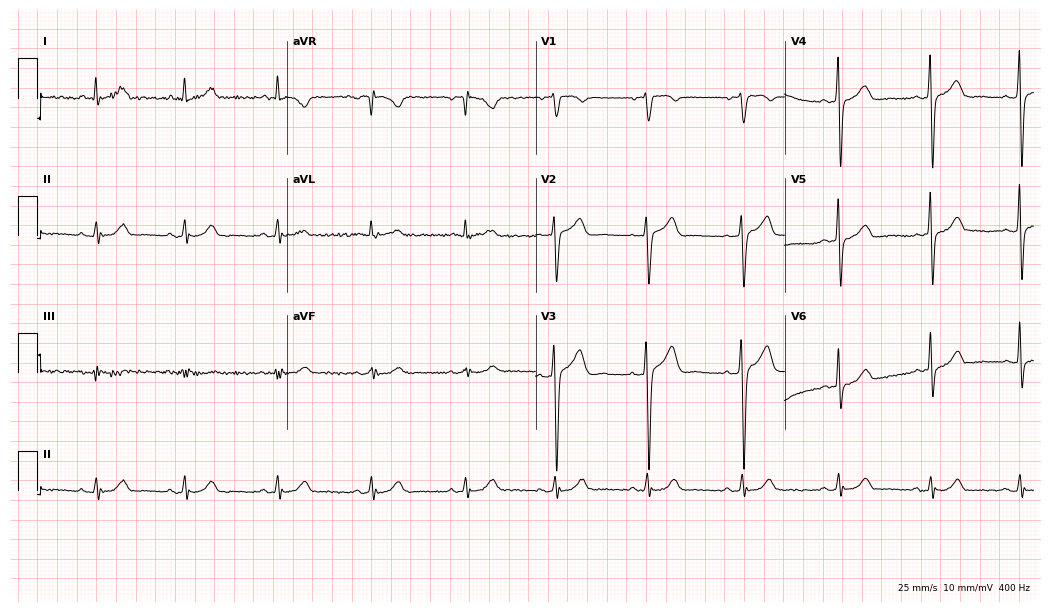
Resting 12-lead electrocardiogram. Patient: a 47-year-old male. Read as a normal ECG.